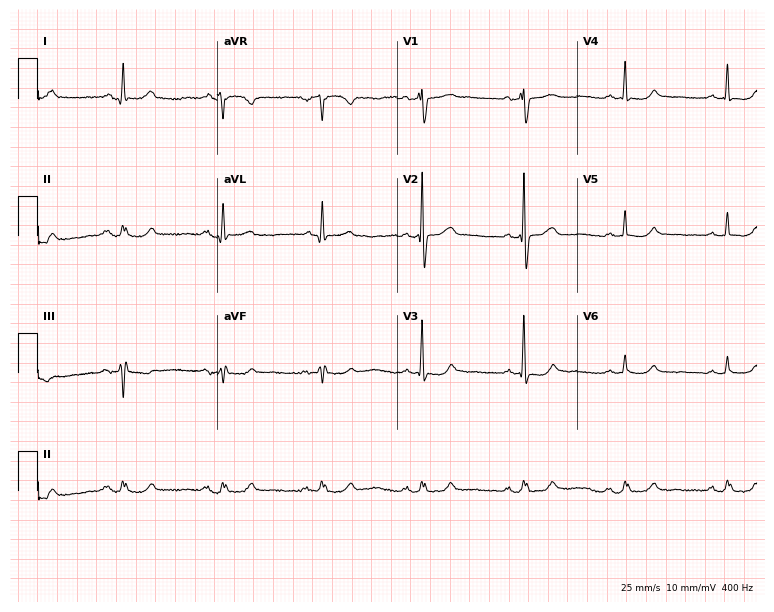
12-lead ECG from a male, 59 years old (7.3-second recording at 400 Hz). Recorded interpretation: within normal limits.